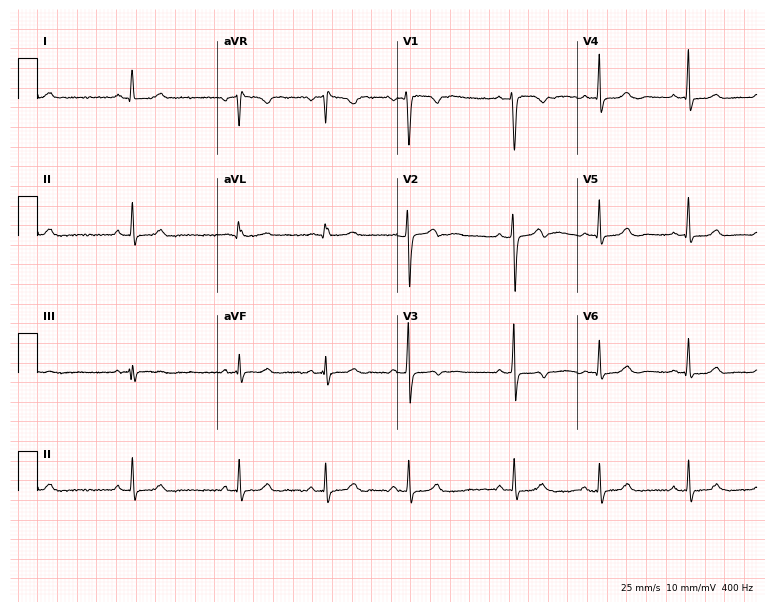
Resting 12-lead electrocardiogram. Patient: a female, 22 years old. None of these six findings is recorded: first-degree AV block, right bundle branch block, left bundle branch block, sinus bradycardia, atrial fibrillation, sinus tachycardia. Findings outside these six are not listed.